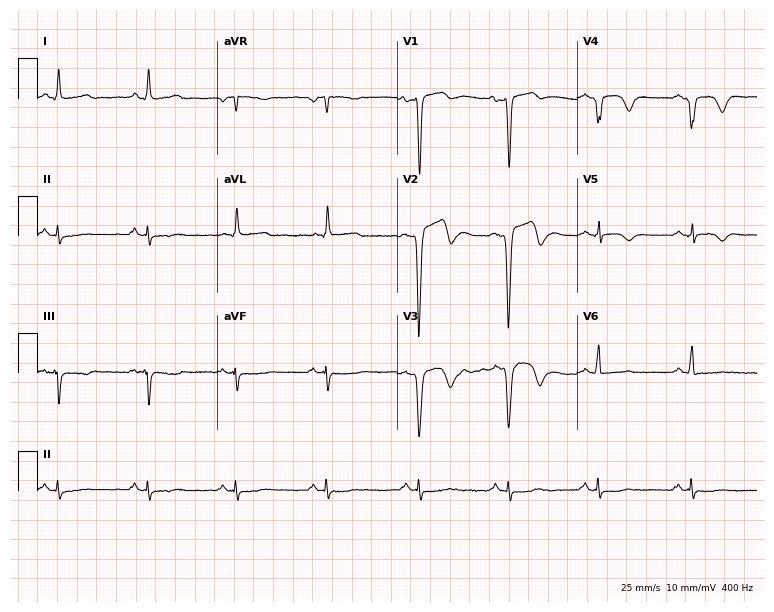
Standard 12-lead ECG recorded from a male, 70 years old (7.3-second recording at 400 Hz). None of these six findings is recorded: first-degree AV block, right bundle branch block, left bundle branch block, sinus bradycardia, atrial fibrillation, sinus tachycardia.